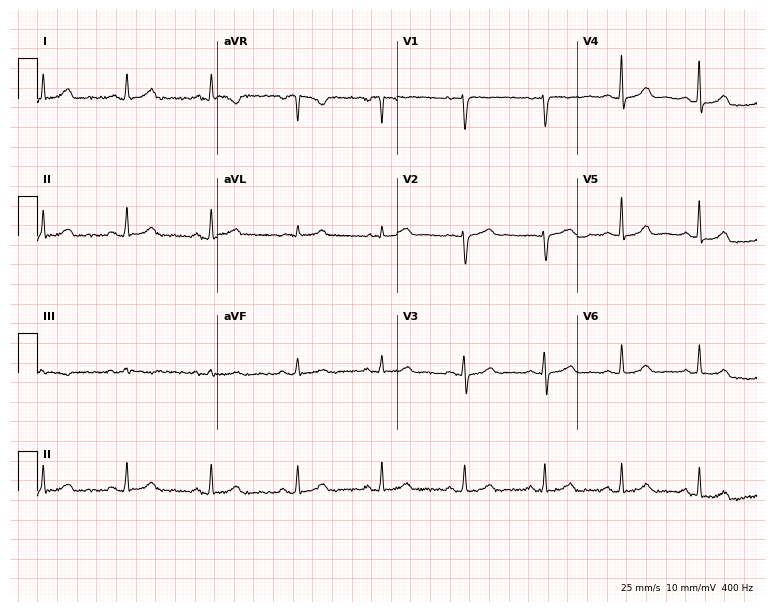
12-lead ECG from a female, 41 years old. Recorded interpretation: within normal limits.